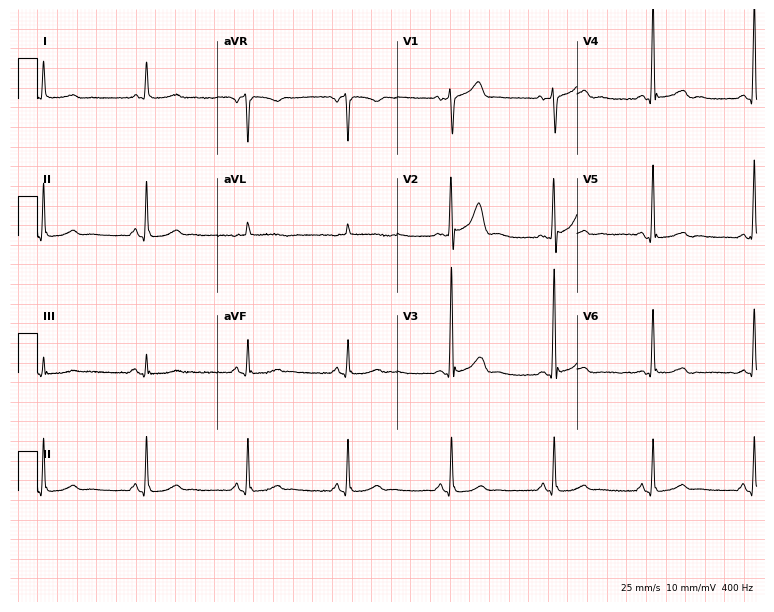
Resting 12-lead electrocardiogram (7.3-second recording at 400 Hz). Patient: a female, 60 years old. Read as a normal ECG.